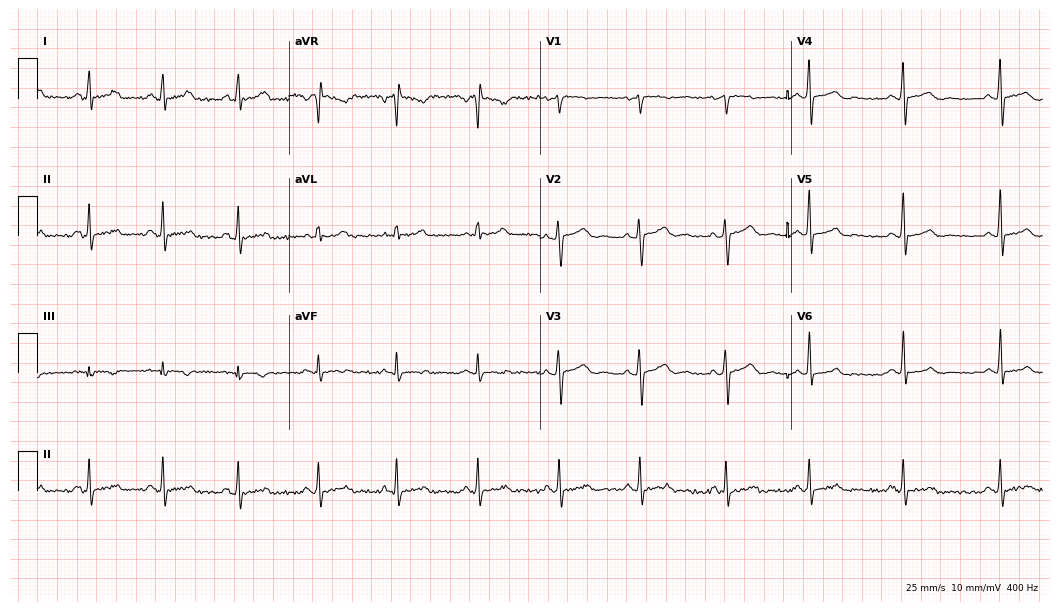
Resting 12-lead electrocardiogram (10.2-second recording at 400 Hz). Patient: a 34-year-old female. Read as a normal ECG.